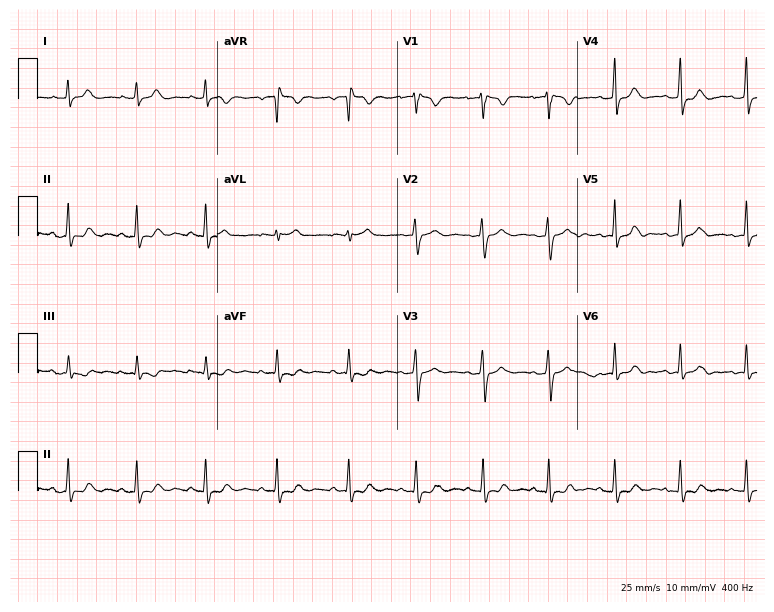
ECG — a 23-year-old female patient. Labelled as a normal ECG.